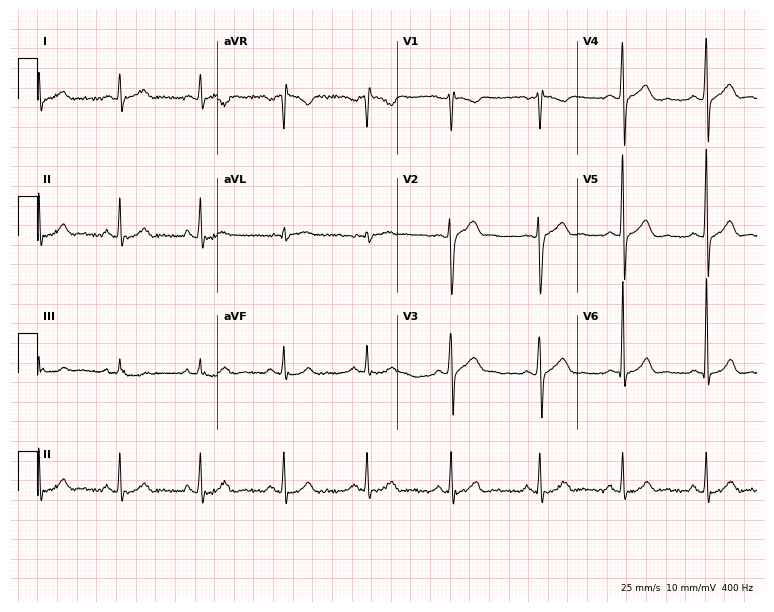
ECG (7.3-second recording at 400 Hz) — a male, 26 years old. Labelled as a normal ECG.